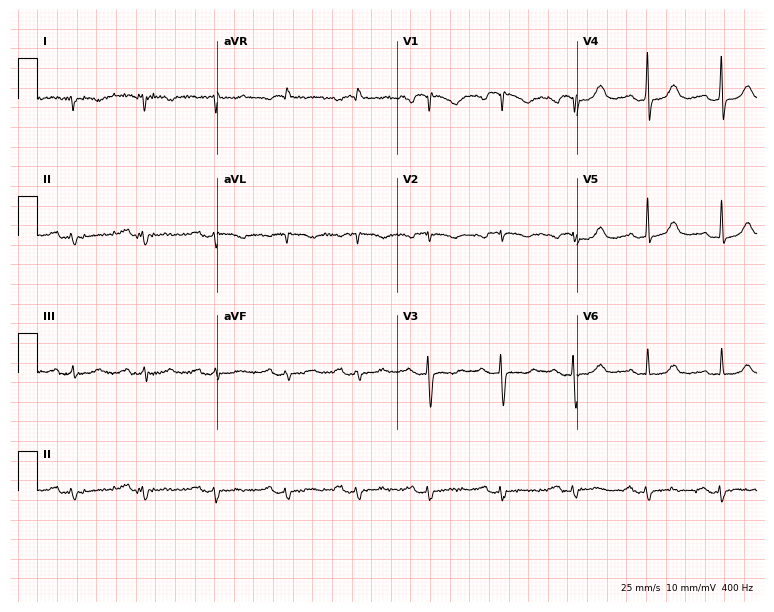
ECG — an 81-year-old female. Screened for six findings — first-degree AV block, right bundle branch block, left bundle branch block, sinus bradycardia, atrial fibrillation, sinus tachycardia — none is recorded.